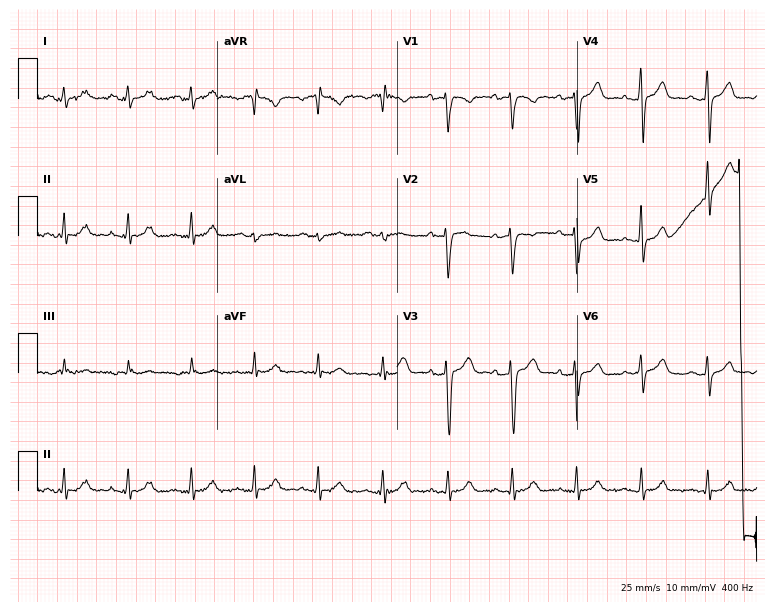
Standard 12-lead ECG recorded from a woman, 39 years old (7.3-second recording at 400 Hz). Read as a normal ECG.